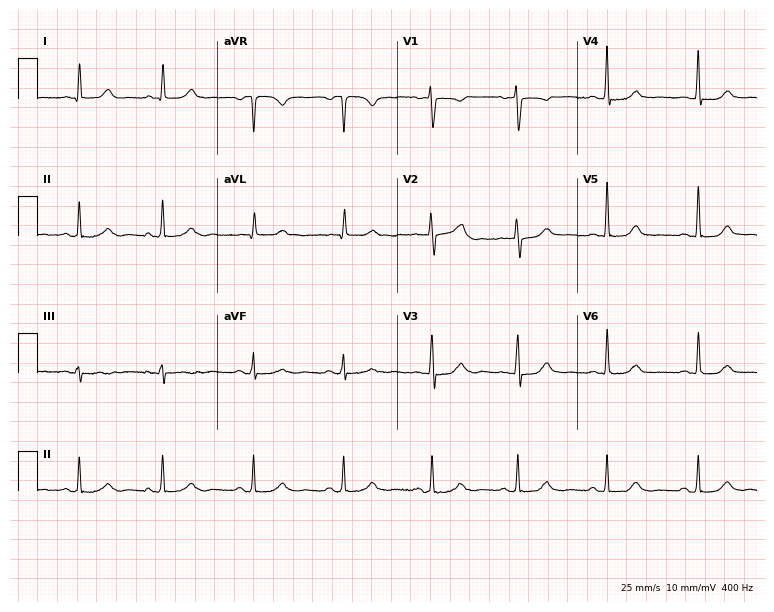
12-lead ECG from a 58-year-old woman (7.3-second recording at 400 Hz). Recorded interpretation: within normal limits.